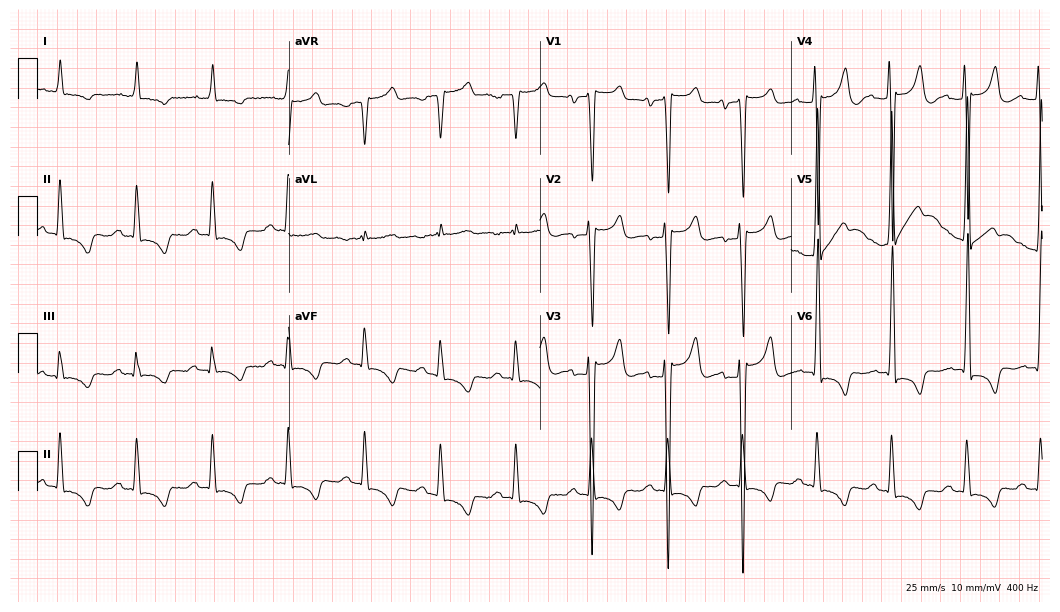
ECG — a male, 80 years old. Screened for six findings — first-degree AV block, right bundle branch block (RBBB), left bundle branch block (LBBB), sinus bradycardia, atrial fibrillation (AF), sinus tachycardia — none is recorded.